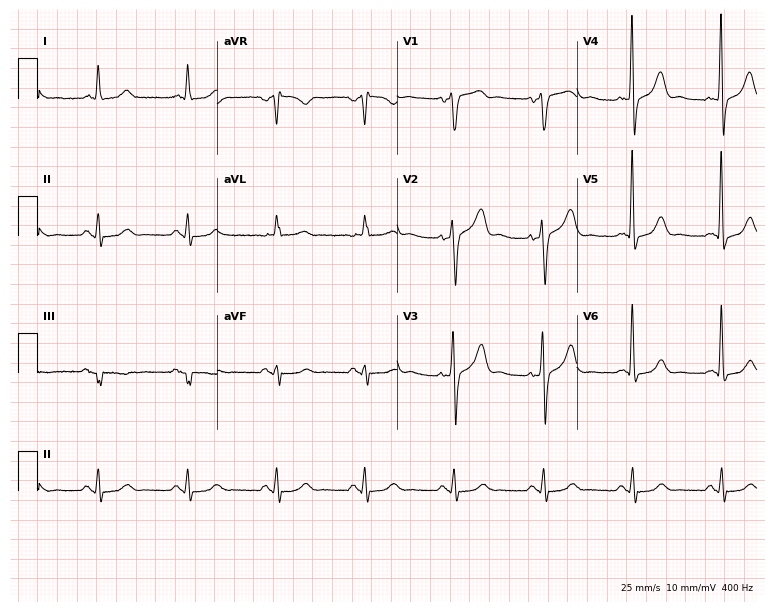
Resting 12-lead electrocardiogram (7.3-second recording at 400 Hz). Patient: a male, 86 years old. Read as a normal ECG.